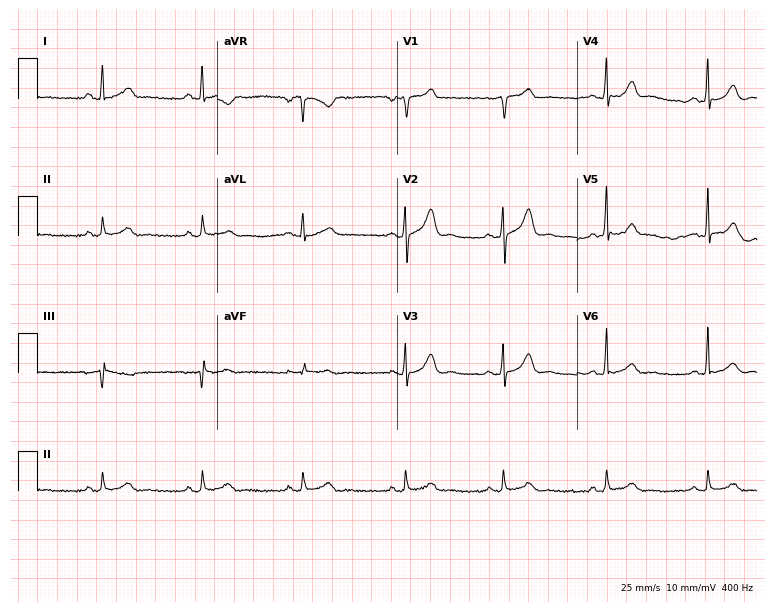
Standard 12-lead ECG recorded from a male patient, 39 years old. Read as a normal ECG.